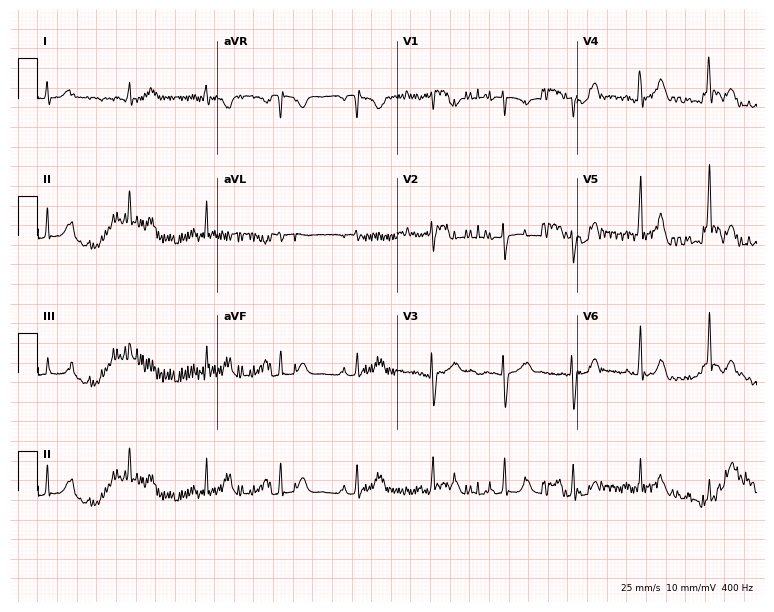
12-lead ECG (7.3-second recording at 400 Hz) from a female, 40 years old. Labelled as a normal ECG.